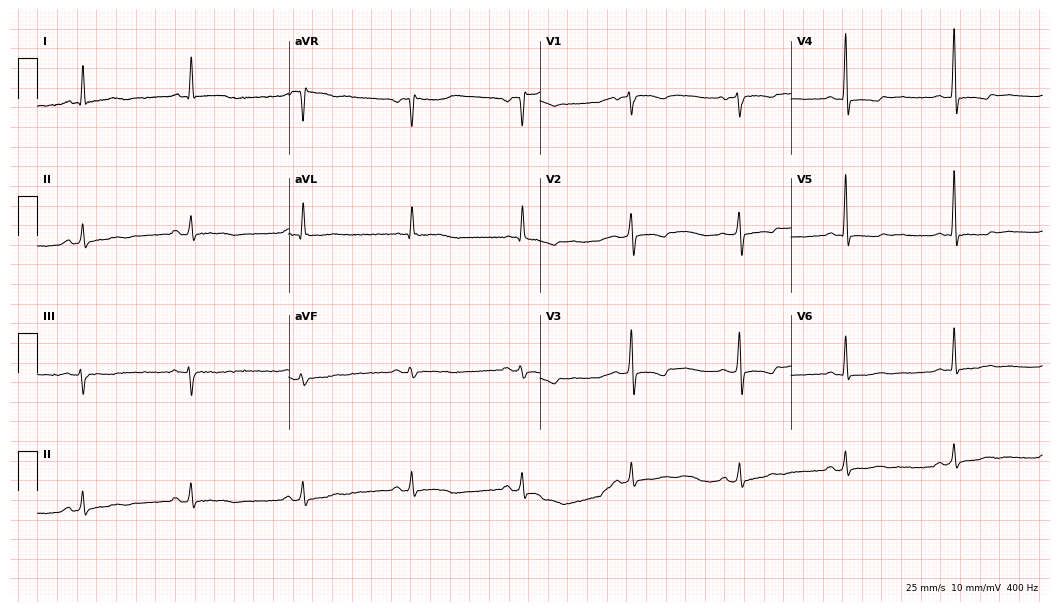
Resting 12-lead electrocardiogram (10.2-second recording at 400 Hz). Patient: a woman, 66 years old. None of these six findings is recorded: first-degree AV block, right bundle branch block, left bundle branch block, sinus bradycardia, atrial fibrillation, sinus tachycardia.